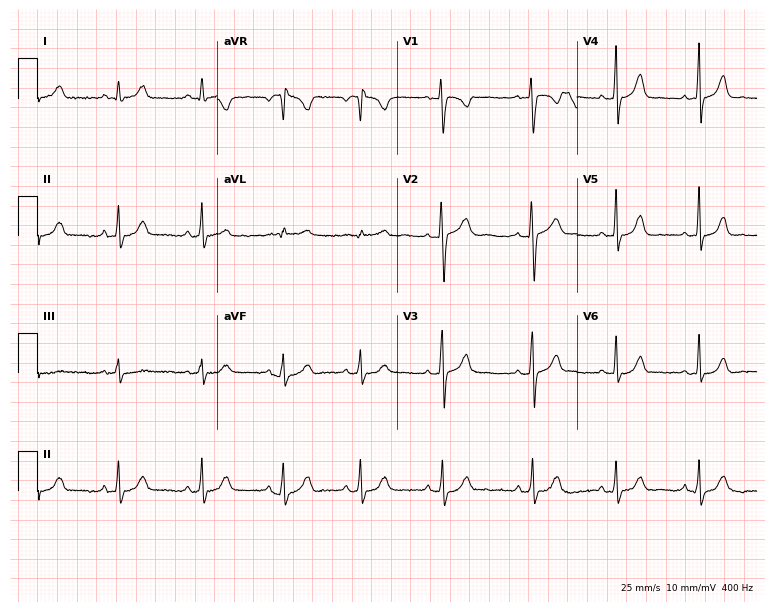
Standard 12-lead ECG recorded from a 26-year-old female patient. Read as a normal ECG.